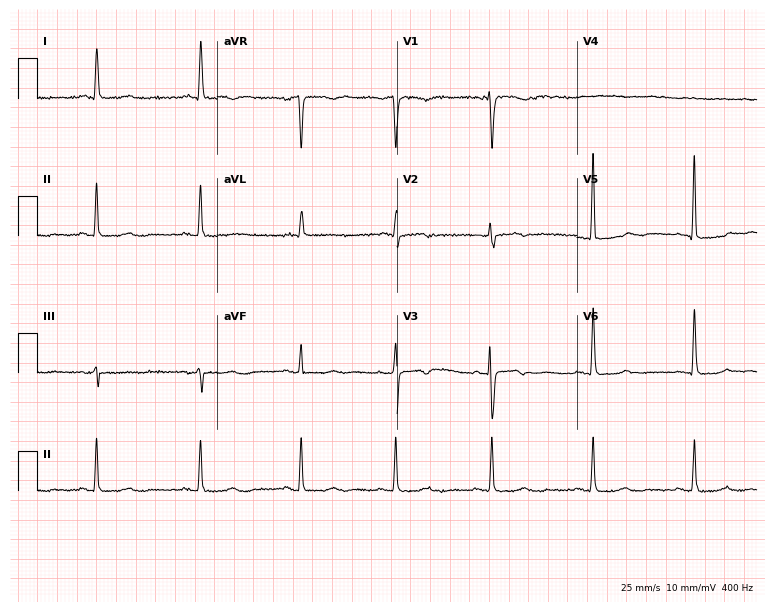
12-lead ECG from a 51-year-old woman. Screened for six findings — first-degree AV block, right bundle branch block, left bundle branch block, sinus bradycardia, atrial fibrillation, sinus tachycardia — none is recorded.